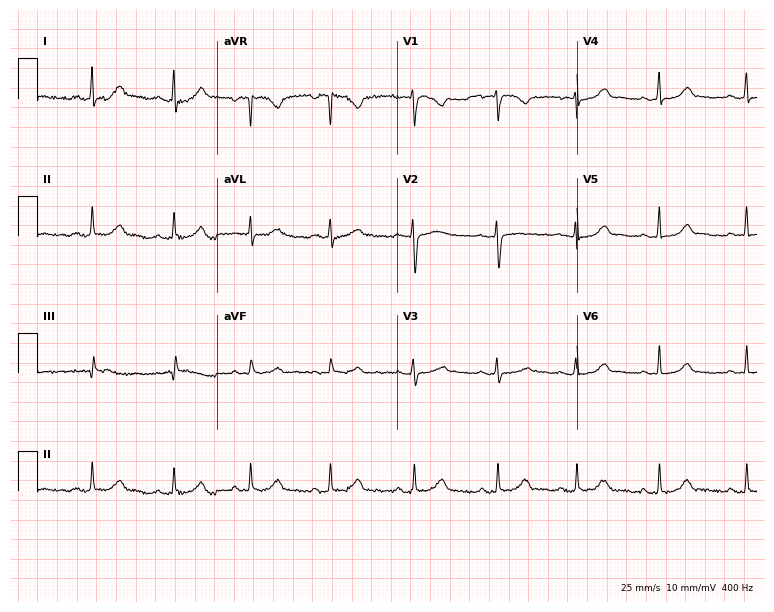
Standard 12-lead ECG recorded from a female, 34 years old (7.3-second recording at 400 Hz). Read as a normal ECG.